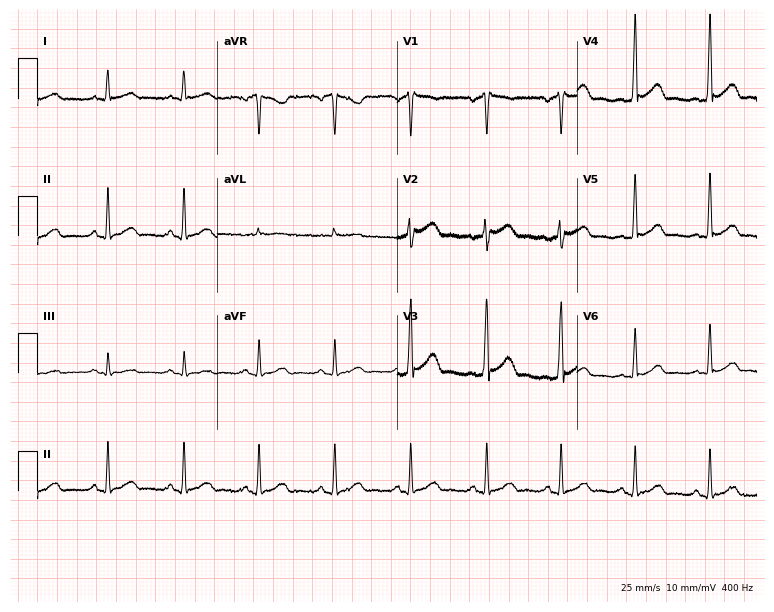
ECG — a 64-year-old male. Screened for six findings — first-degree AV block, right bundle branch block (RBBB), left bundle branch block (LBBB), sinus bradycardia, atrial fibrillation (AF), sinus tachycardia — none is recorded. Only these six findings were labelled.